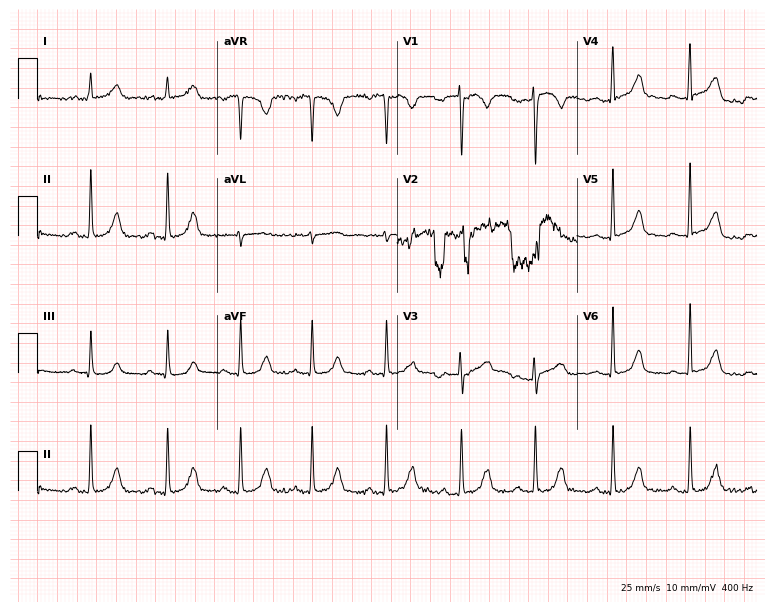
ECG — a 46-year-old woman. Labelled as a normal ECG.